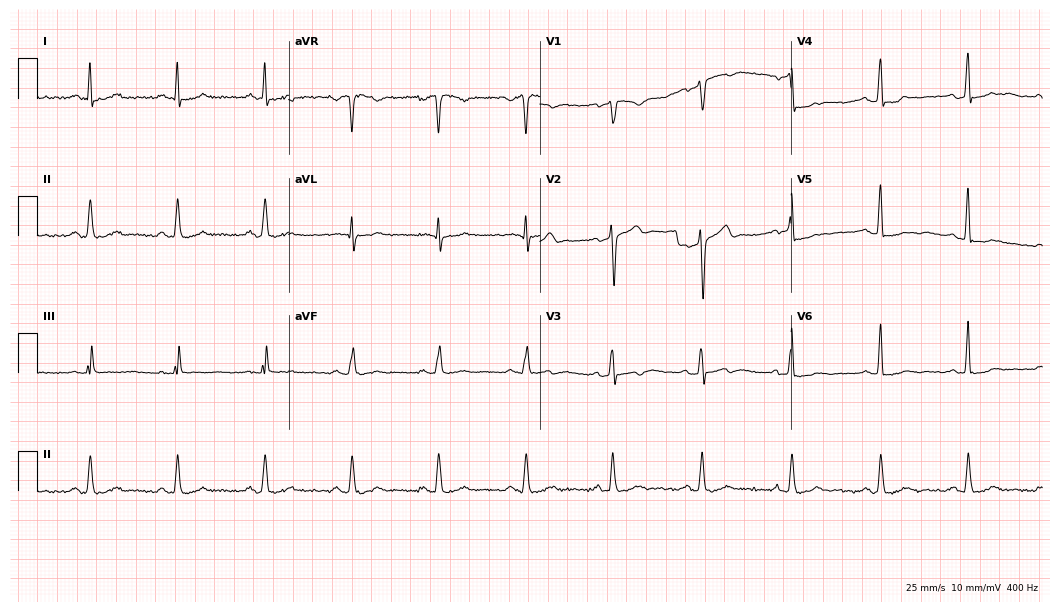
12-lead ECG from a male patient, 54 years old. Screened for six findings — first-degree AV block, right bundle branch block, left bundle branch block, sinus bradycardia, atrial fibrillation, sinus tachycardia — none is recorded.